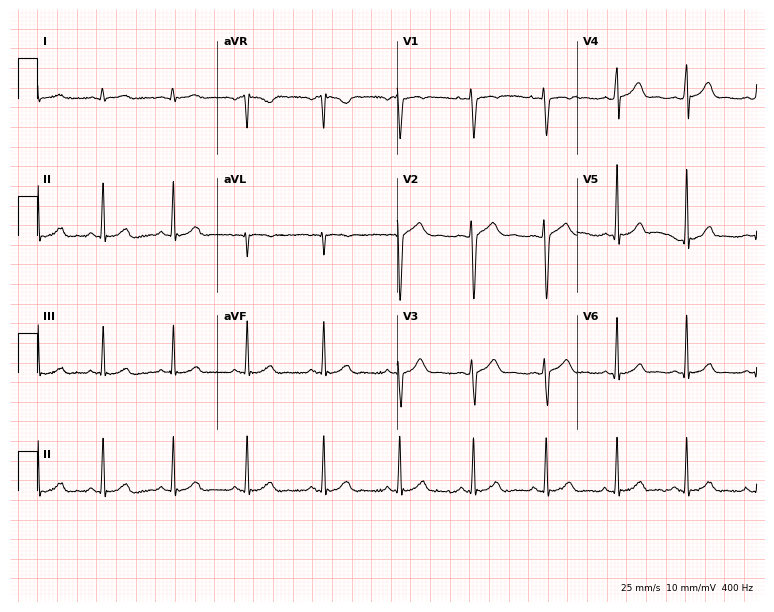
Resting 12-lead electrocardiogram. Patient: a woman, 19 years old. None of these six findings is recorded: first-degree AV block, right bundle branch block, left bundle branch block, sinus bradycardia, atrial fibrillation, sinus tachycardia.